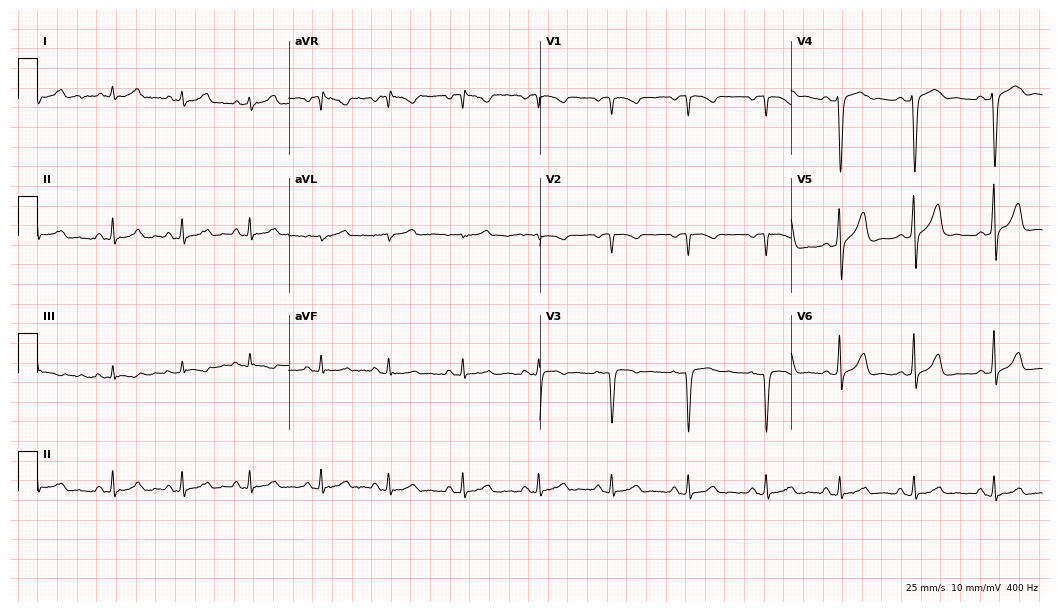
Standard 12-lead ECG recorded from a 45-year-old woman. None of these six findings is recorded: first-degree AV block, right bundle branch block (RBBB), left bundle branch block (LBBB), sinus bradycardia, atrial fibrillation (AF), sinus tachycardia. Other findings, if any, are not listed.